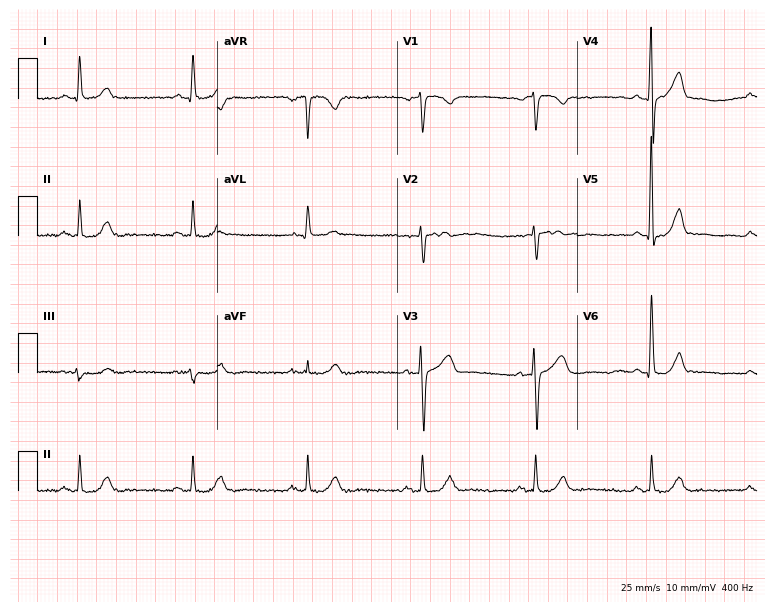
12-lead ECG (7.3-second recording at 400 Hz) from a 64-year-old man. Screened for six findings — first-degree AV block, right bundle branch block, left bundle branch block, sinus bradycardia, atrial fibrillation, sinus tachycardia — none is recorded. Only these six findings were labelled.